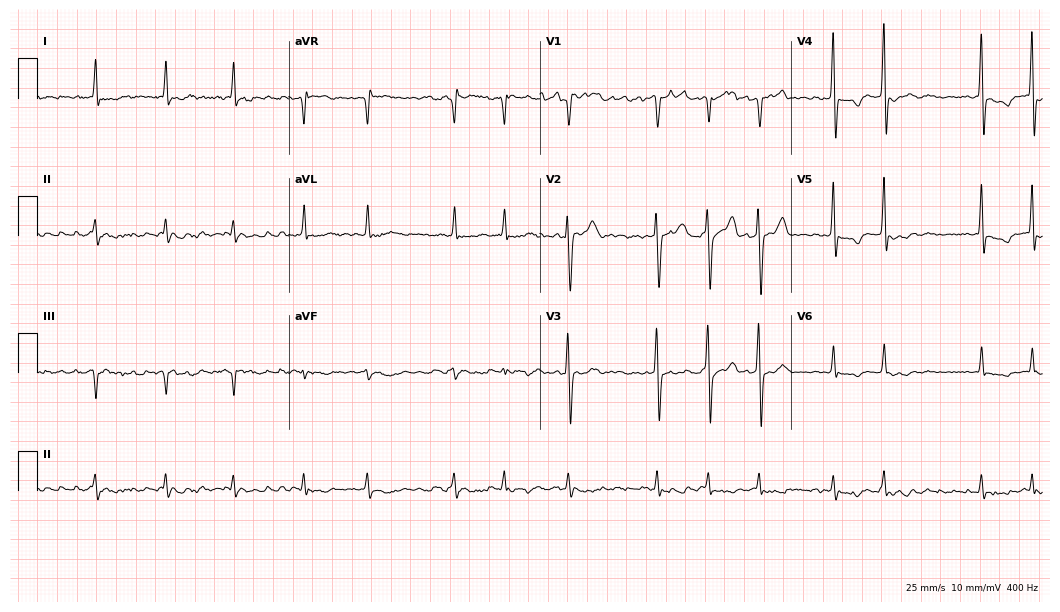
12-lead ECG (10.2-second recording at 400 Hz) from a 77-year-old woman. Findings include atrial fibrillation.